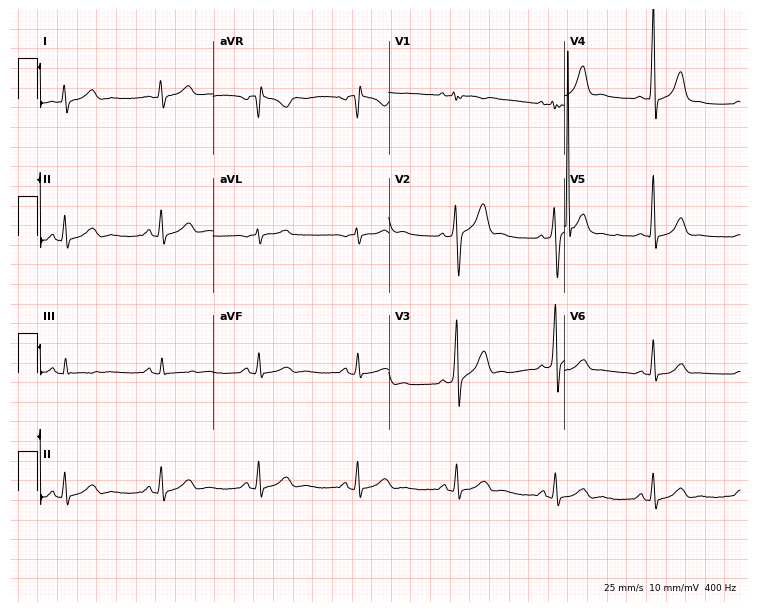
ECG (7.2-second recording at 400 Hz) — a male patient, 42 years old. Labelled as a normal ECG.